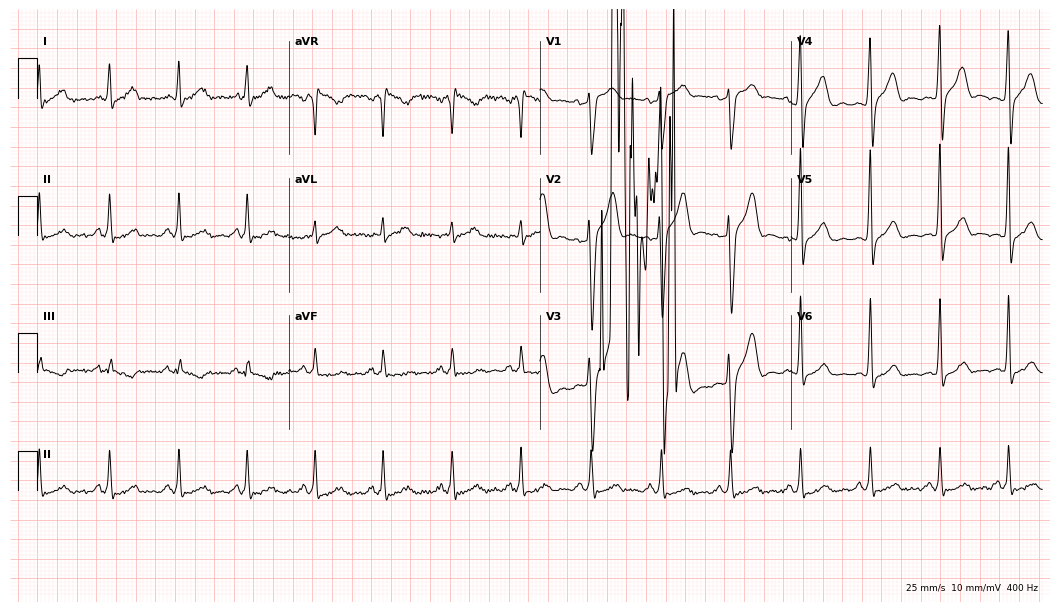
Electrocardiogram (10.2-second recording at 400 Hz), a 41-year-old woman. Of the six screened findings (first-degree AV block, right bundle branch block (RBBB), left bundle branch block (LBBB), sinus bradycardia, atrial fibrillation (AF), sinus tachycardia), none is recorded.